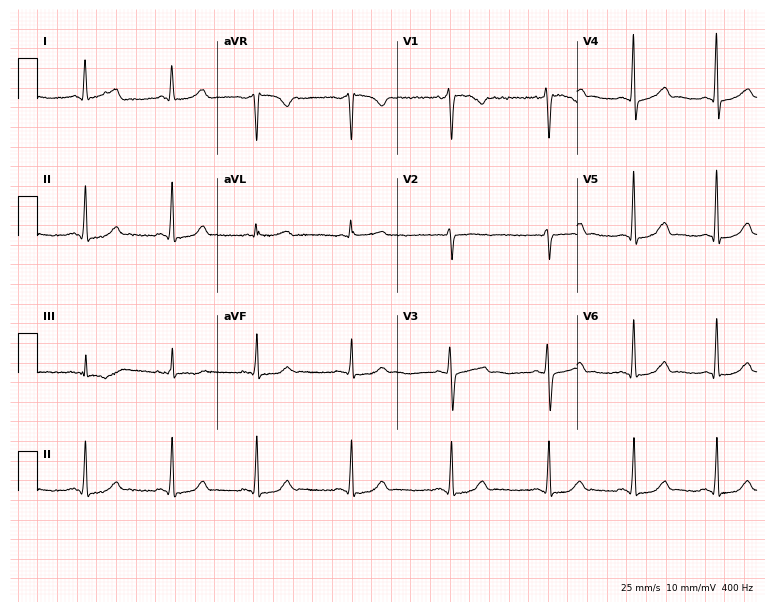
12-lead ECG from a 43-year-old female patient. Recorded interpretation: within normal limits.